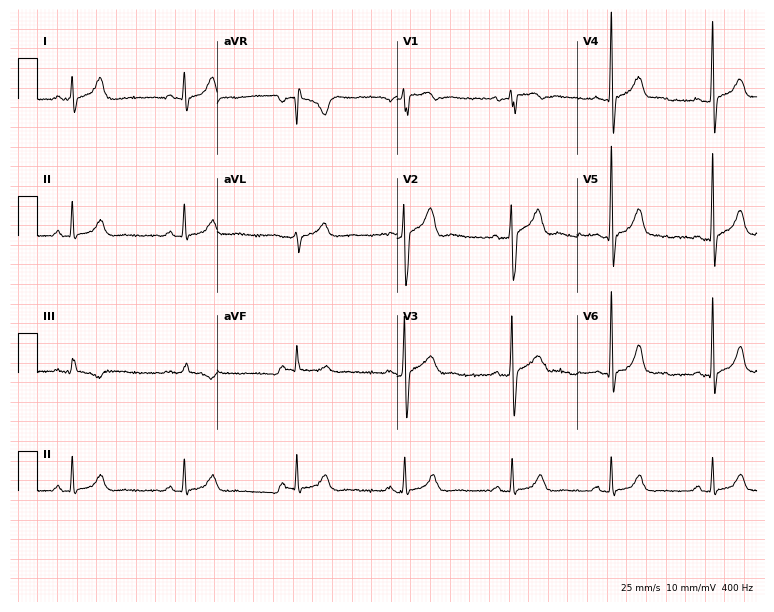
Resting 12-lead electrocardiogram. Patient: a 32-year-old man. Read as a normal ECG.